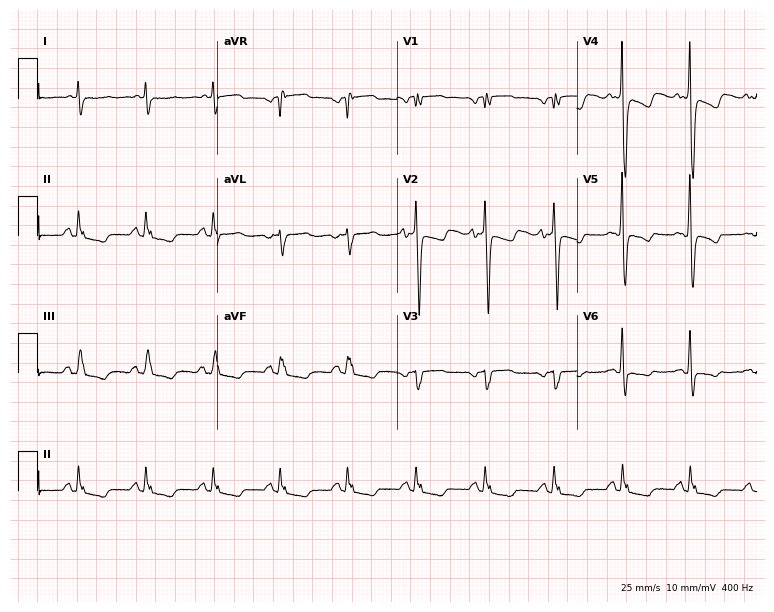
12-lead ECG from a man, 55 years old. No first-degree AV block, right bundle branch block, left bundle branch block, sinus bradycardia, atrial fibrillation or sinus tachycardia recorded for this tracing. Findings outside these six are not listed.